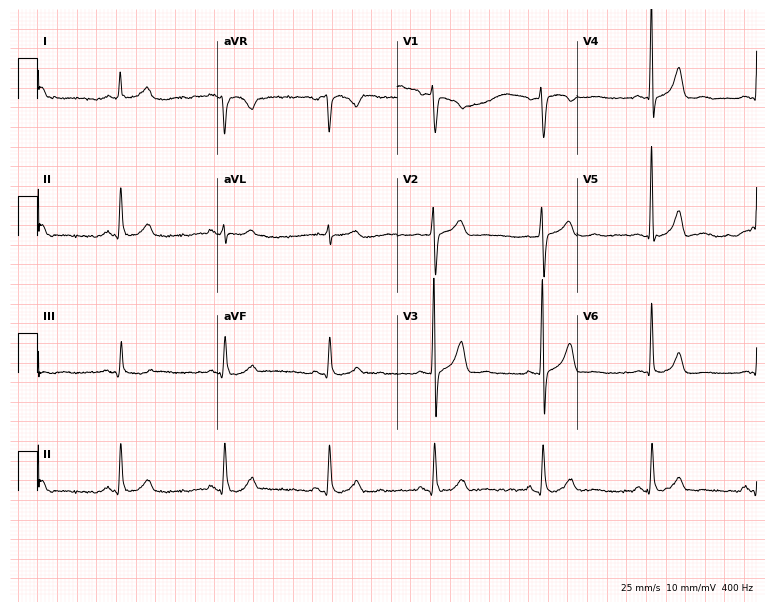
Electrocardiogram (7.3-second recording at 400 Hz), a 50-year-old male. Of the six screened findings (first-degree AV block, right bundle branch block, left bundle branch block, sinus bradycardia, atrial fibrillation, sinus tachycardia), none is recorded.